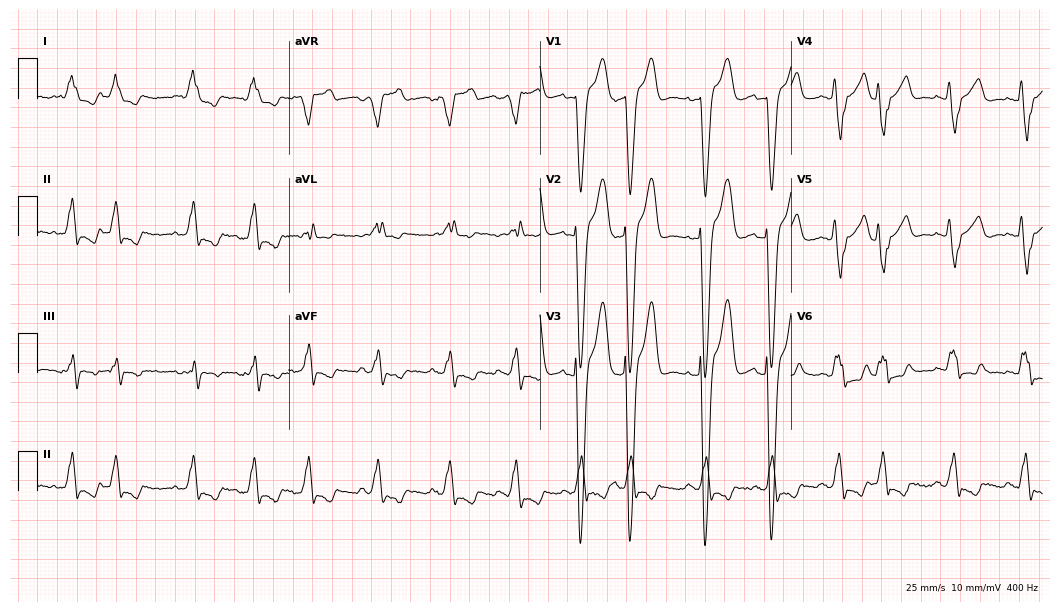
12-lead ECG from an 81-year-old male patient (10.2-second recording at 400 Hz). Shows left bundle branch block (LBBB).